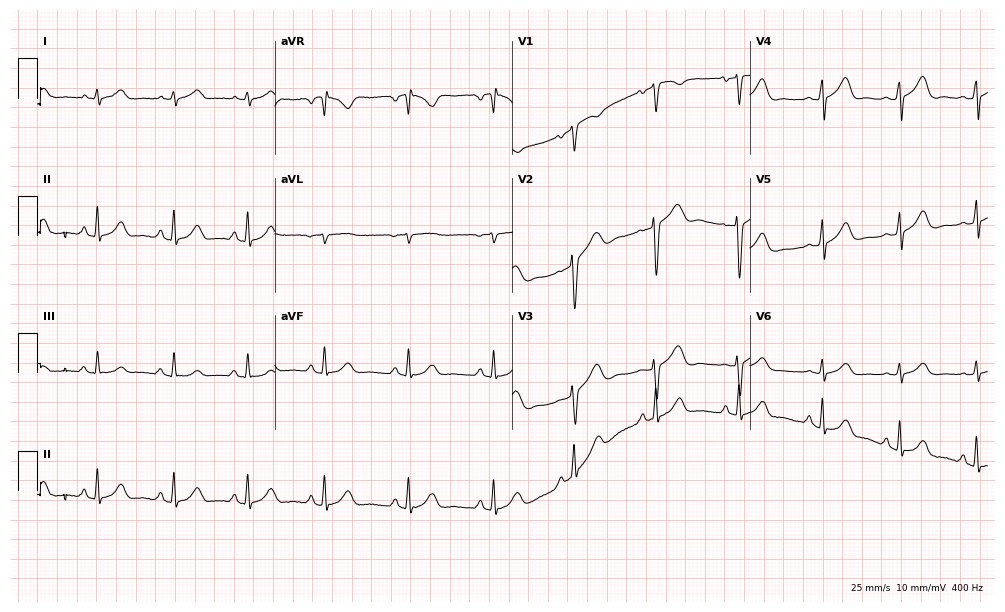
Resting 12-lead electrocardiogram. Patient: a woman, 27 years old. Read as a normal ECG.